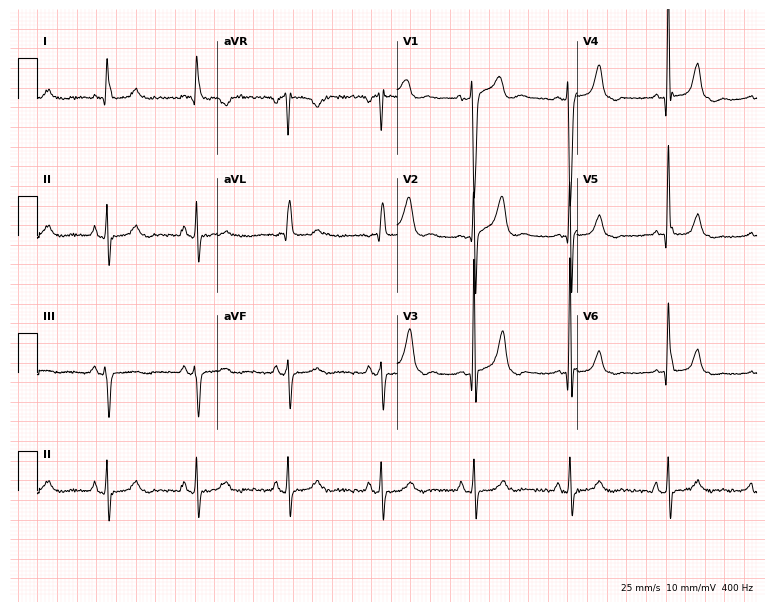
Electrocardiogram (7.3-second recording at 400 Hz), a 79-year-old male patient. Overall reading on record: normal ECG.